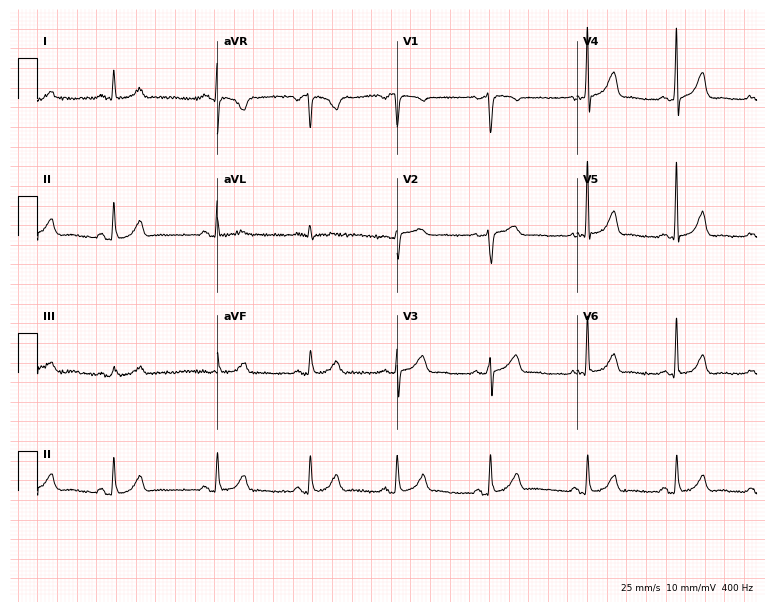
12-lead ECG from a female, 49 years old (7.3-second recording at 400 Hz). Recorded interpretation: within normal limits.